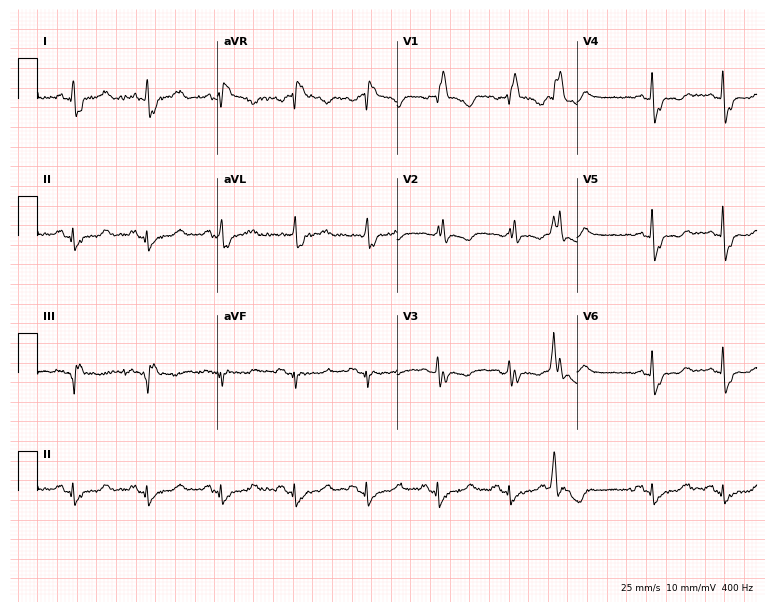
12-lead ECG from an 81-year-old female. Shows right bundle branch block.